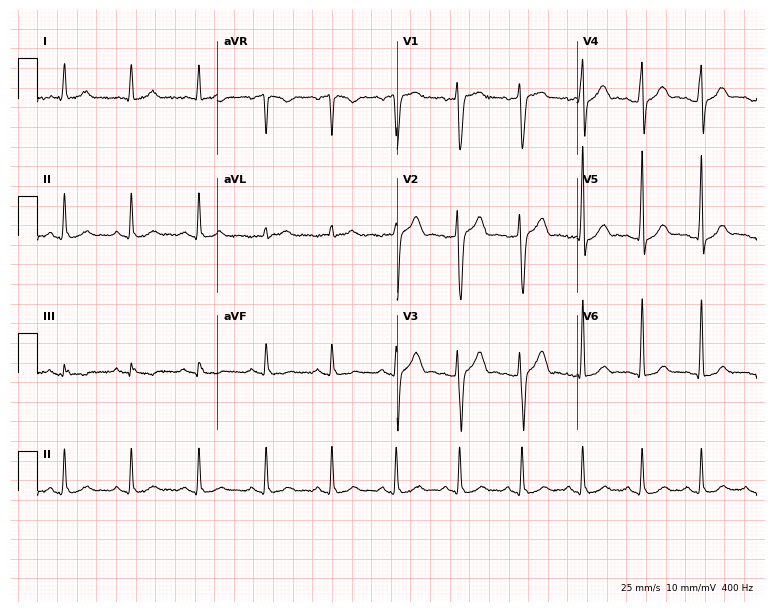
12-lead ECG (7.3-second recording at 400 Hz) from a 36-year-old male patient. Screened for six findings — first-degree AV block, right bundle branch block, left bundle branch block, sinus bradycardia, atrial fibrillation, sinus tachycardia — none is recorded.